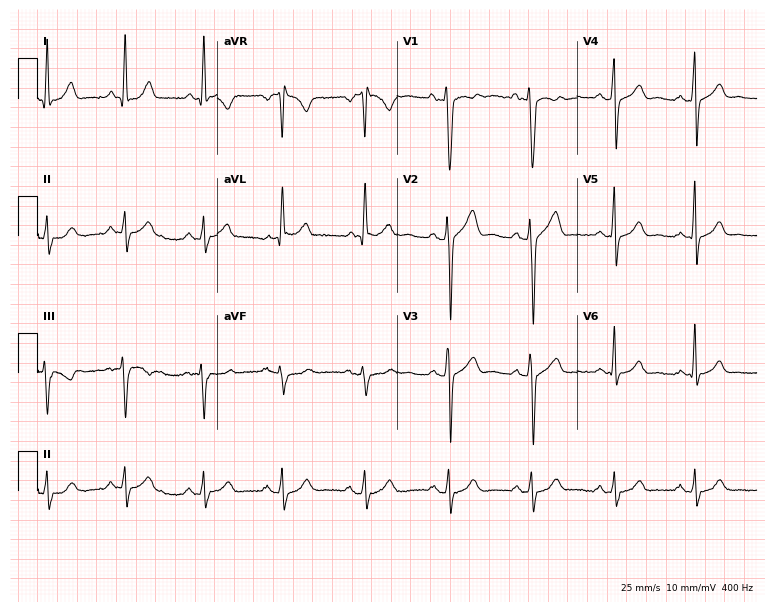
ECG — a 42-year-old man. Screened for six findings — first-degree AV block, right bundle branch block (RBBB), left bundle branch block (LBBB), sinus bradycardia, atrial fibrillation (AF), sinus tachycardia — none is recorded.